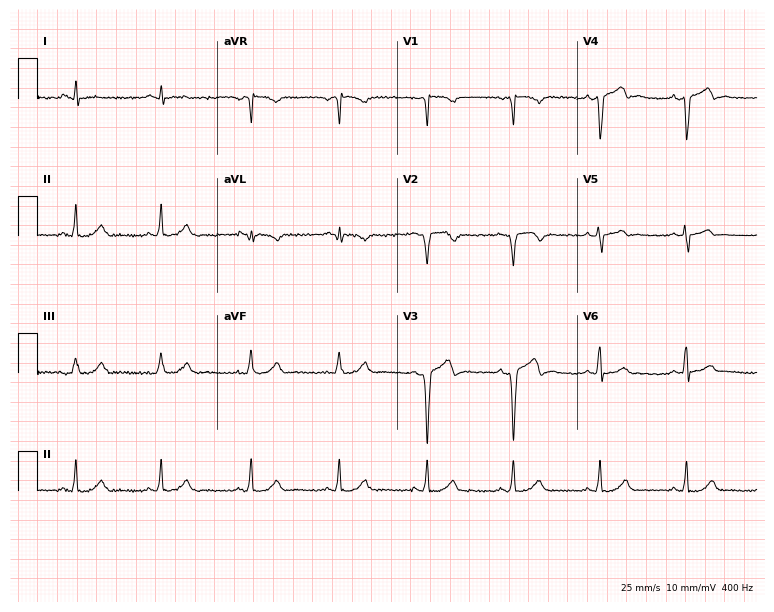
Standard 12-lead ECG recorded from a 43-year-old male patient (7.3-second recording at 400 Hz). None of these six findings is recorded: first-degree AV block, right bundle branch block, left bundle branch block, sinus bradycardia, atrial fibrillation, sinus tachycardia. Findings outside these six are not listed.